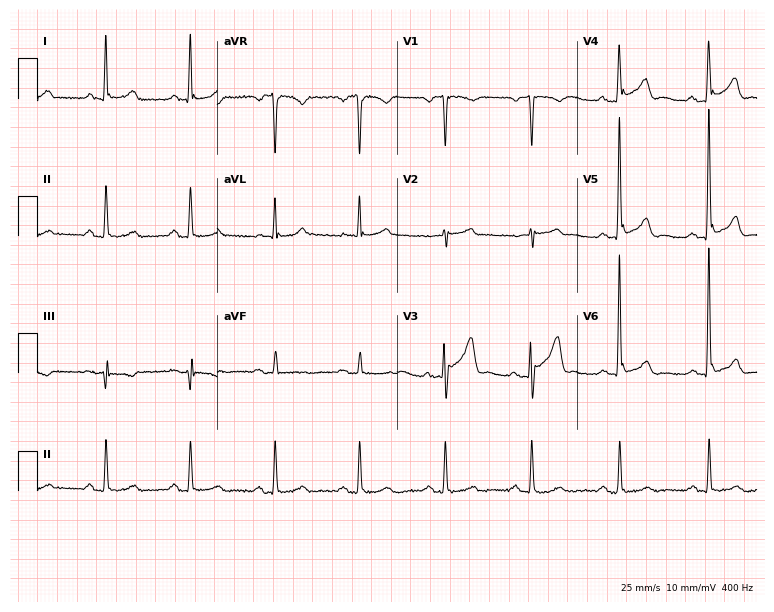
Electrocardiogram (7.3-second recording at 400 Hz), a man, 54 years old. Of the six screened findings (first-degree AV block, right bundle branch block (RBBB), left bundle branch block (LBBB), sinus bradycardia, atrial fibrillation (AF), sinus tachycardia), none is recorded.